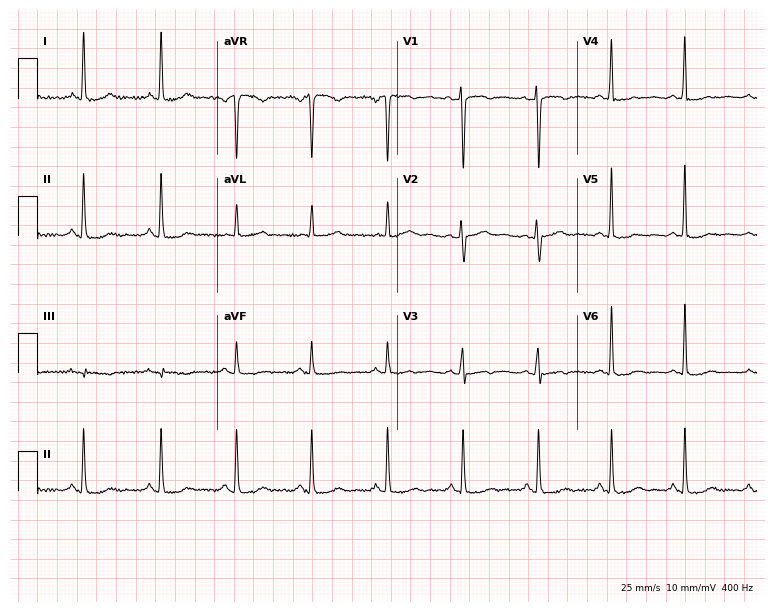
12-lead ECG from a 34-year-old female. Labelled as a normal ECG.